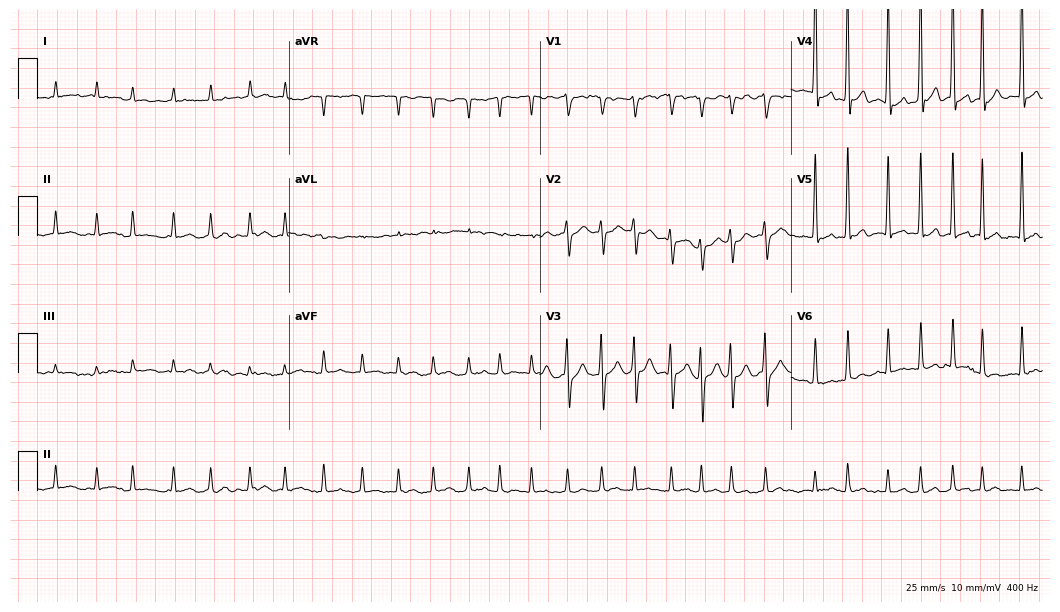
12-lead ECG from a 78-year-old male patient. No first-degree AV block, right bundle branch block, left bundle branch block, sinus bradycardia, atrial fibrillation or sinus tachycardia recorded for this tracing. Only these six findings were labelled.